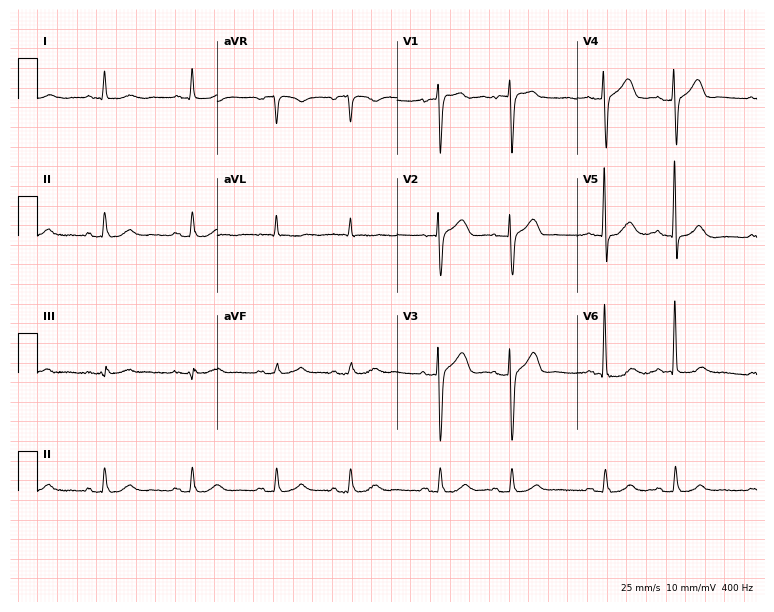
Resting 12-lead electrocardiogram (7.3-second recording at 400 Hz). Patient: a female, 84 years old. Read as a normal ECG.